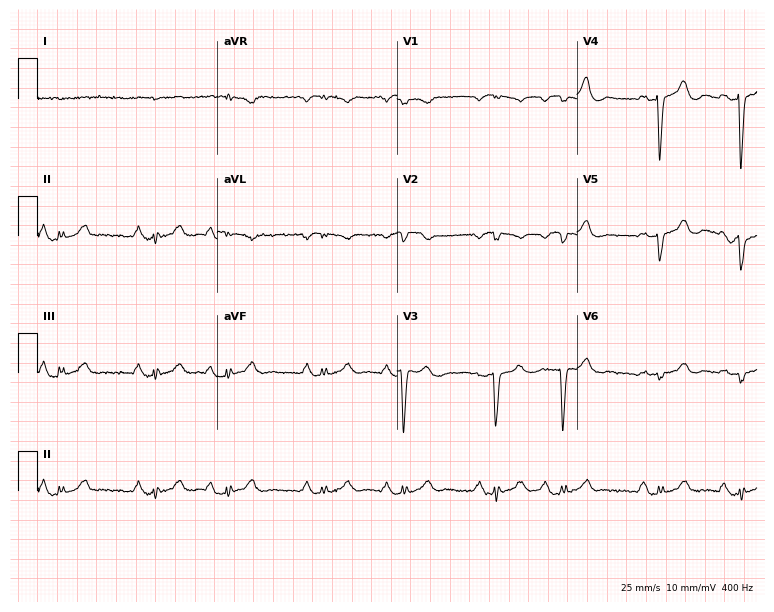
ECG — a male, 77 years old. Screened for six findings — first-degree AV block, right bundle branch block (RBBB), left bundle branch block (LBBB), sinus bradycardia, atrial fibrillation (AF), sinus tachycardia — none is recorded.